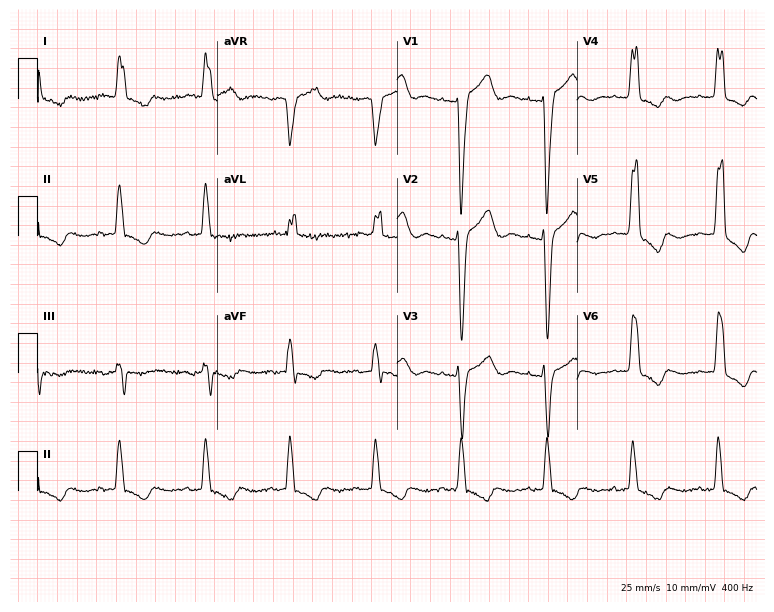
Standard 12-lead ECG recorded from a female, 85 years old. The tracing shows left bundle branch block (LBBB).